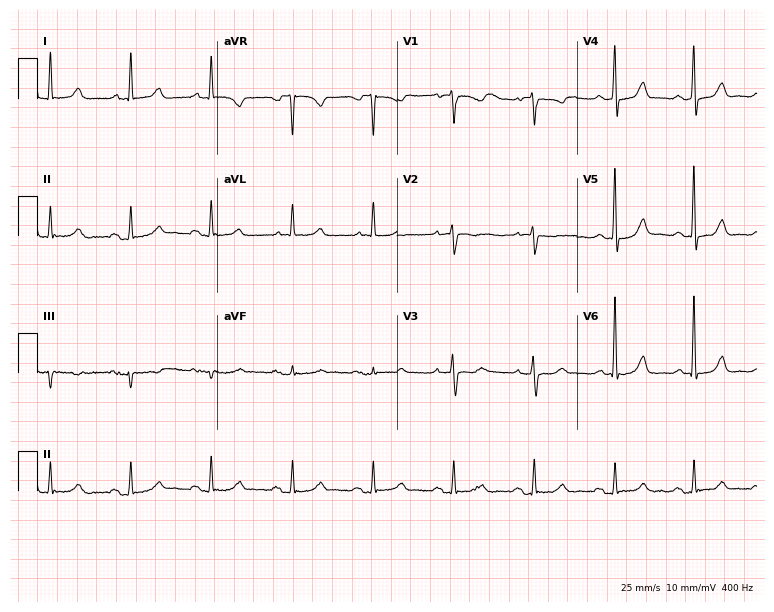
12-lead ECG from a female, 68 years old. Labelled as a normal ECG.